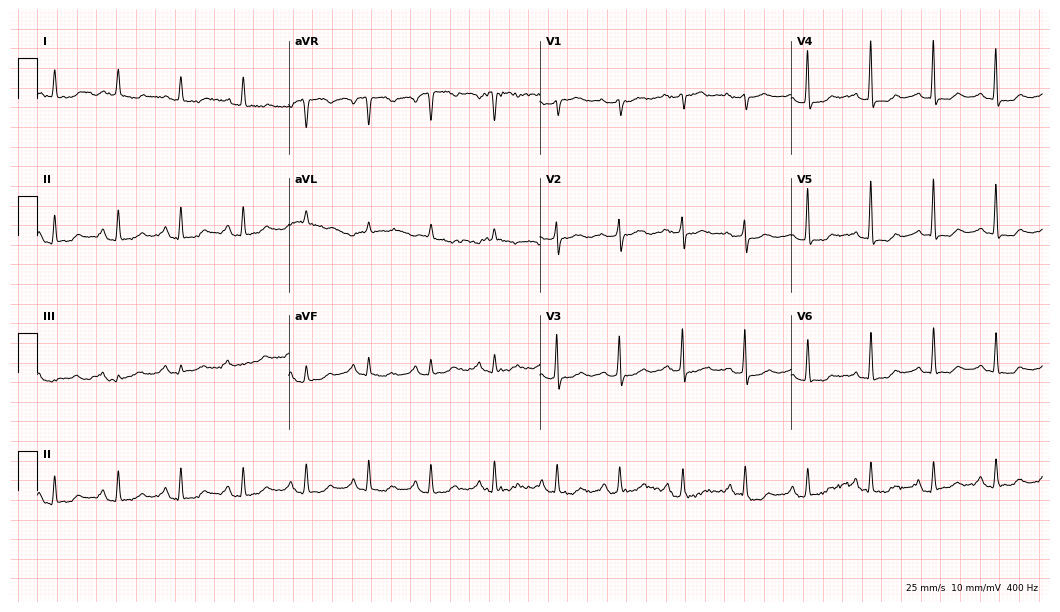
Electrocardiogram (10.2-second recording at 400 Hz), a female, 82 years old. Of the six screened findings (first-degree AV block, right bundle branch block (RBBB), left bundle branch block (LBBB), sinus bradycardia, atrial fibrillation (AF), sinus tachycardia), none is recorded. Other findings, if any, are not listed.